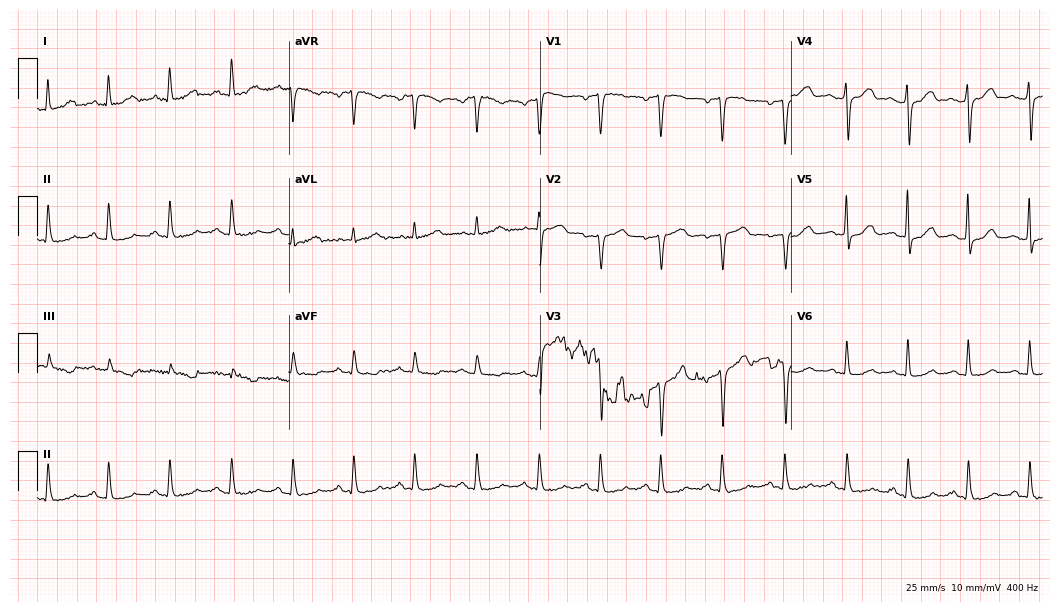
Standard 12-lead ECG recorded from a 47-year-old female patient (10.2-second recording at 400 Hz). None of these six findings is recorded: first-degree AV block, right bundle branch block (RBBB), left bundle branch block (LBBB), sinus bradycardia, atrial fibrillation (AF), sinus tachycardia. Only these six findings were labelled.